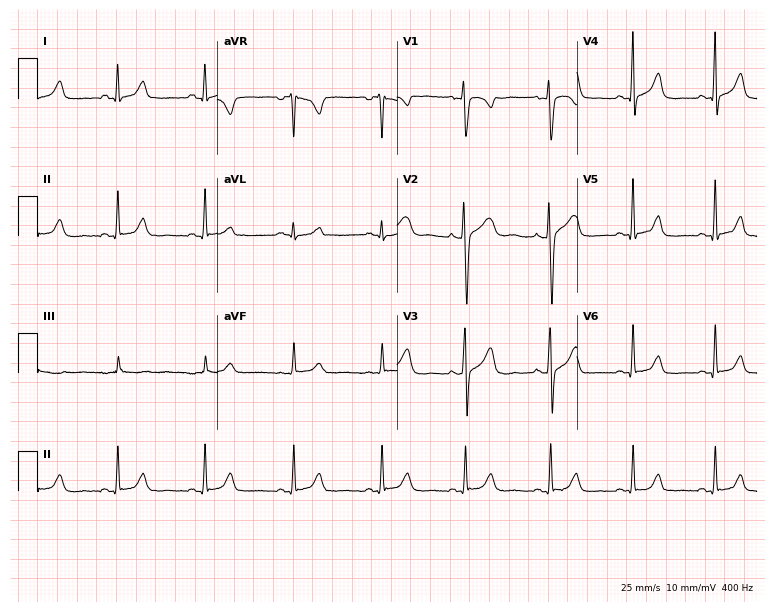
ECG (7.3-second recording at 400 Hz) — a 37-year-old female patient. Screened for six findings — first-degree AV block, right bundle branch block (RBBB), left bundle branch block (LBBB), sinus bradycardia, atrial fibrillation (AF), sinus tachycardia — none is recorded.